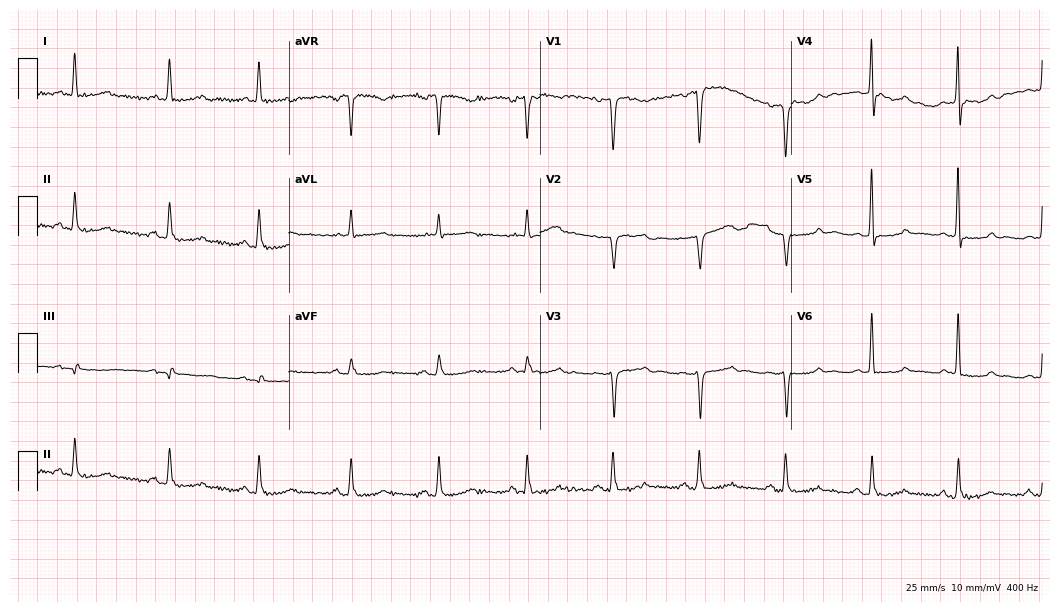
ECG — a 59-year-old woman. Screened for six findings — first-degree AV block, right bundle branch block (RBBB), left bundle branch block (LBBB), sinus bradycardia, atrial fibrillation (AF), sinus tachycardia — none is recorded.